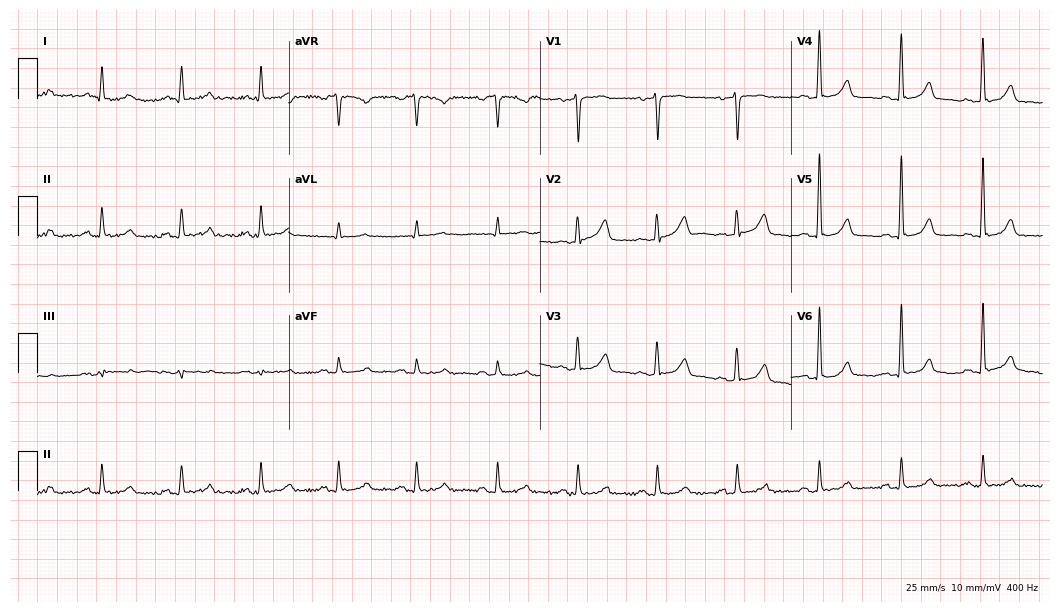
12-lead ECG from a female patient, 53 years old. Labelled as a normal ECG.